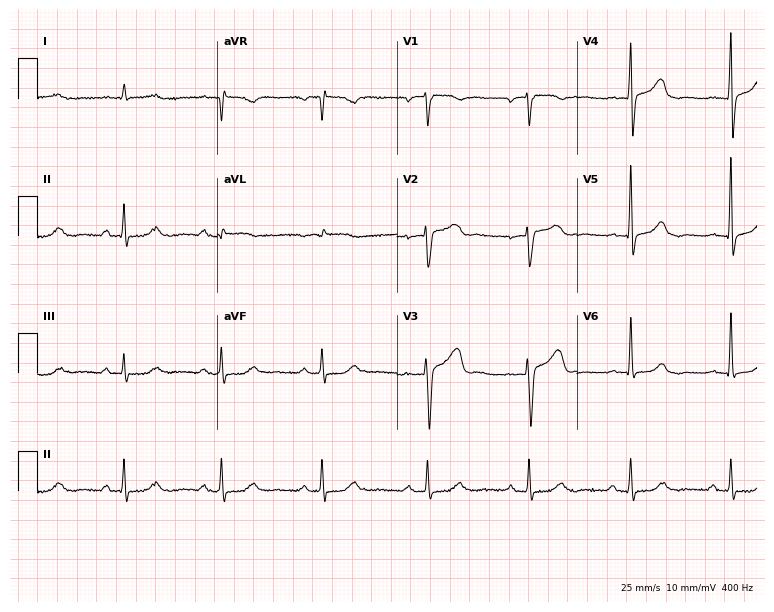
Standard 12-lead ECG recorded from a male, 71 years old (7.3-second recording at 400 Hz). Read as a normal ECG.